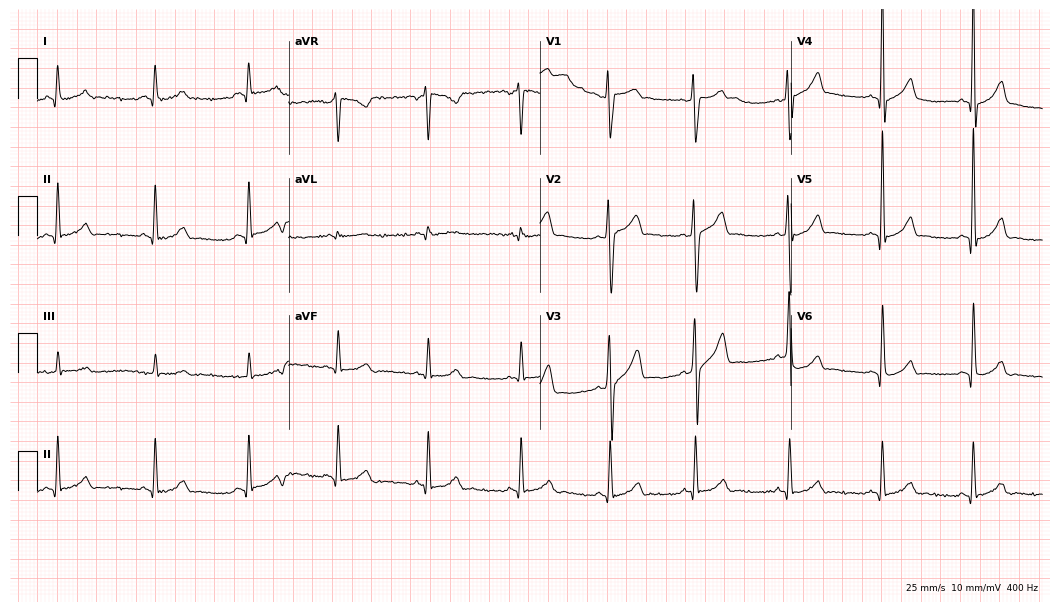
12-lead ECG from a man, 26 years old (10.2-second recording at 400 Hz). Recorded interpretation: within normal limits.